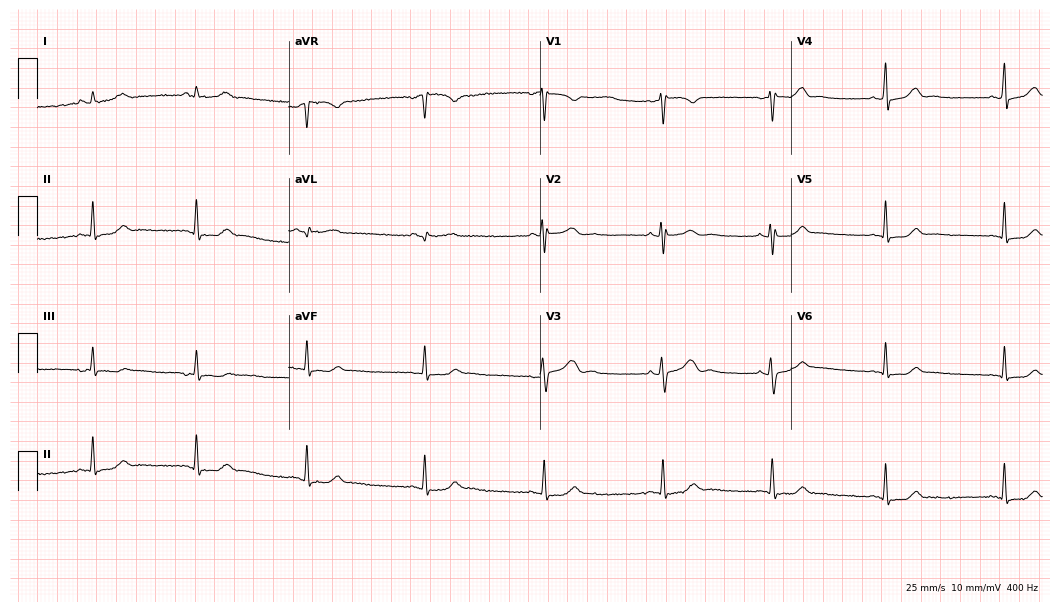
12-lead ECG from a 35-year-old female patient (10.2-second recording at 400 Hz). No first-degree AV block, right bundle branch block, left bundle branch block, sinus bradycardia, atrial fibrillation or sinus tachycardia recorded for this tracing.